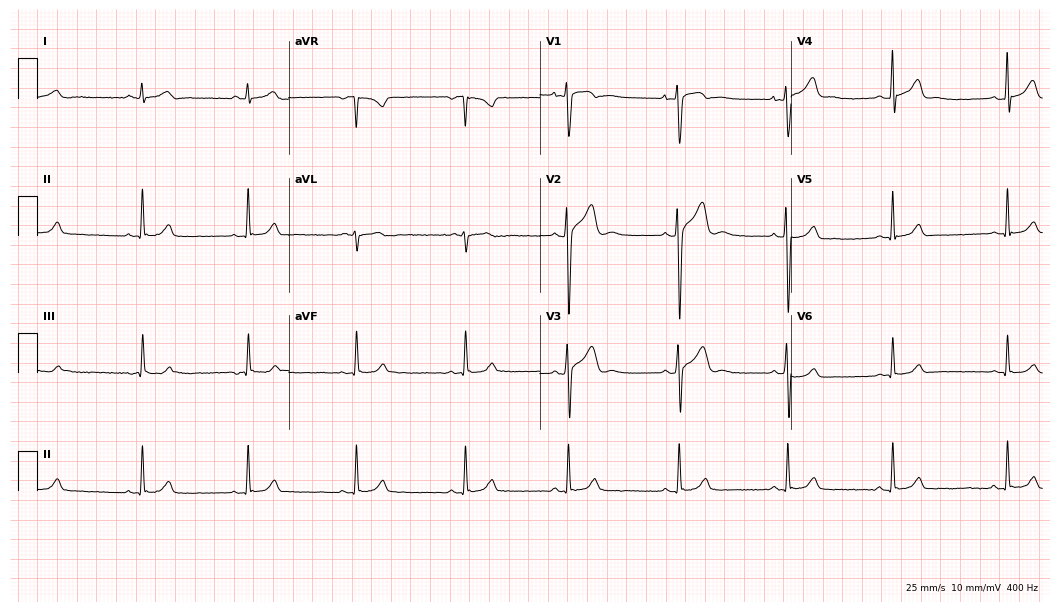
Resting 12-lead electrocardiogram (10.2-second recording at 400 Hz). Patient: a 21-year-old male. Read as a normal ECG.